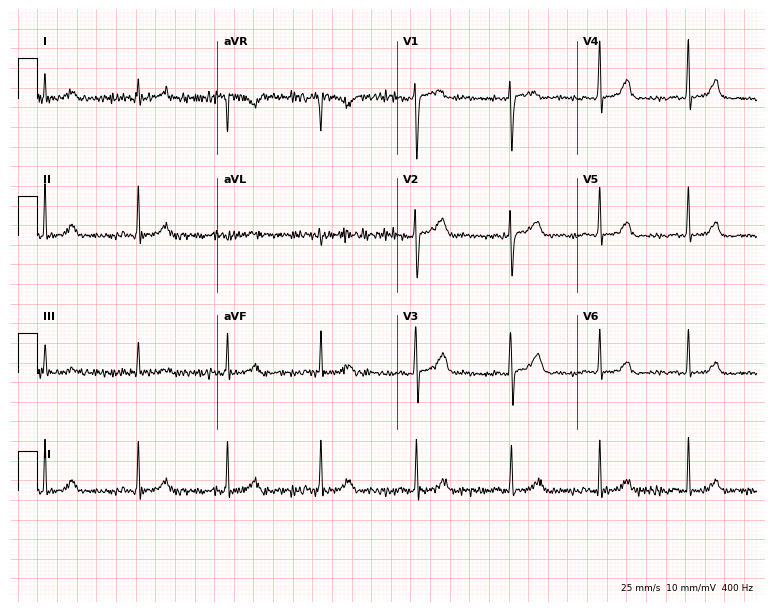
12-lead ECG (7.3-second recording at 400 Hz) from a 23-year-old woman. Screened for six findings — first-degree AV block, right bundle branch block, left bundle branch block, sinus bradycardia, atrial fibrillation, sinus tachycardia — none is recorded.